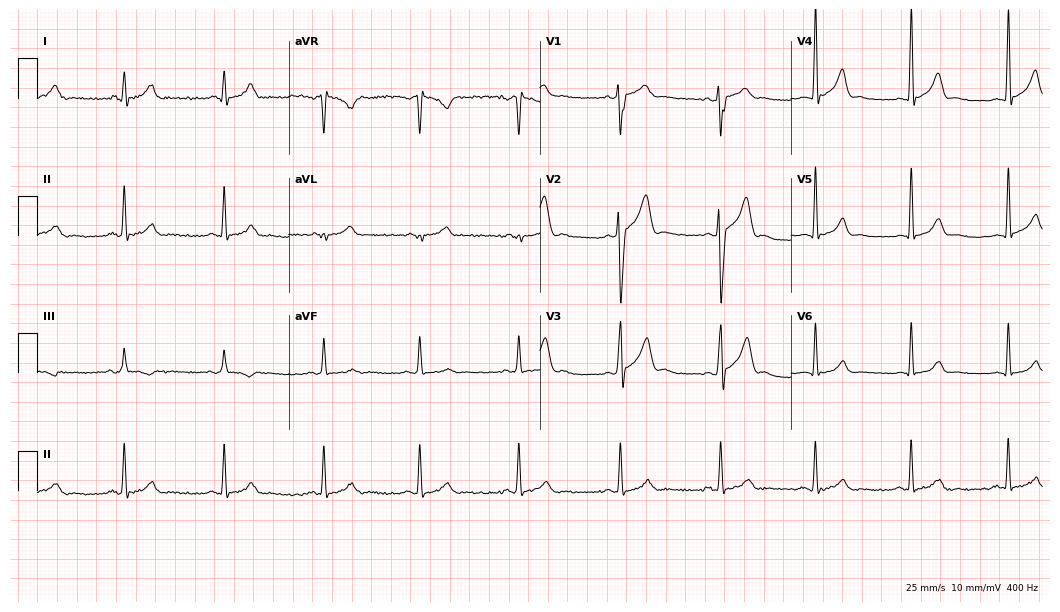
Standard 12-lead ECG recorded from a 29-year-old man. Read as a normal ECG.